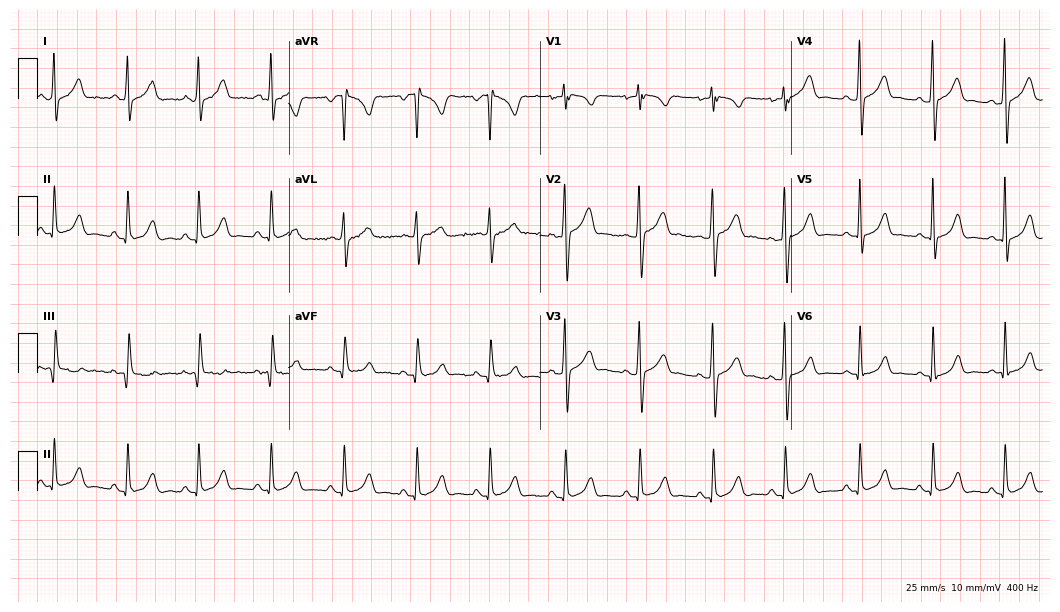
12-lead ECG from a 20-year-old male patient. Recorded interpretation: within normal limits.